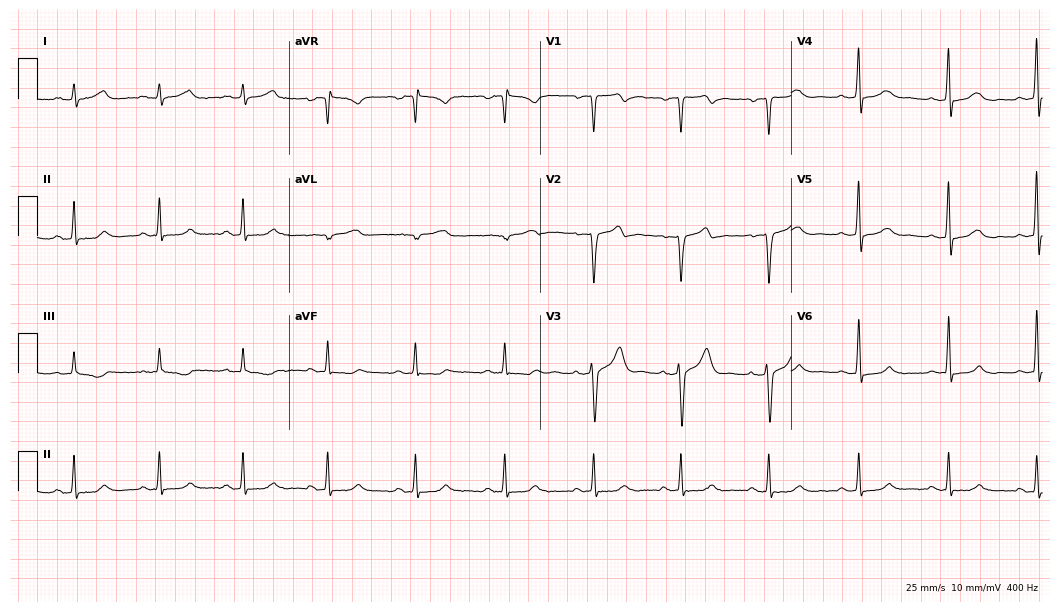
Electrocardiogram (10.2-second recording at 400 Hz), a 36-year-old man. Overall reading on record: normal ECG.